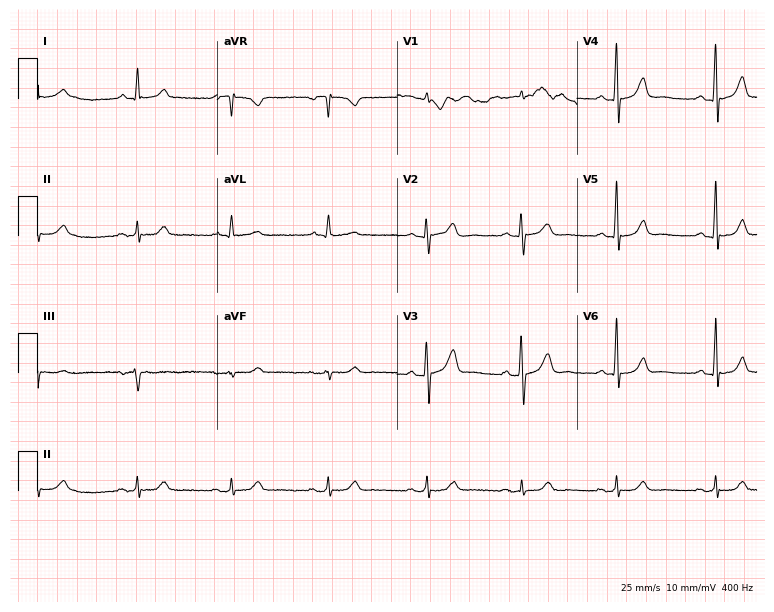
12-lead ECG from a male, 51 years old. Labelled as a normal ECG.